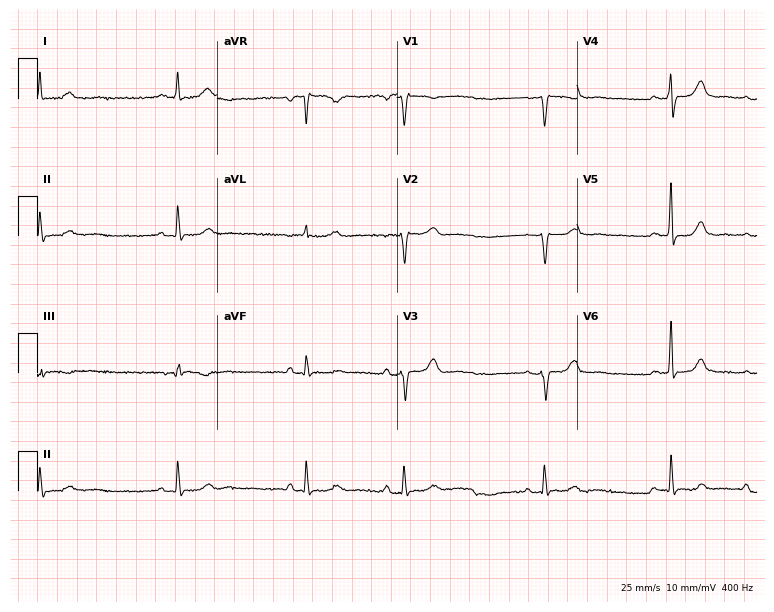
Standard 12-lead ECG recorded from a woman, 69 years old (7.3-second recording at 400 Hz). The tracing shows sinus bradycardia (a sinus rate of 50 beats per minute or less).